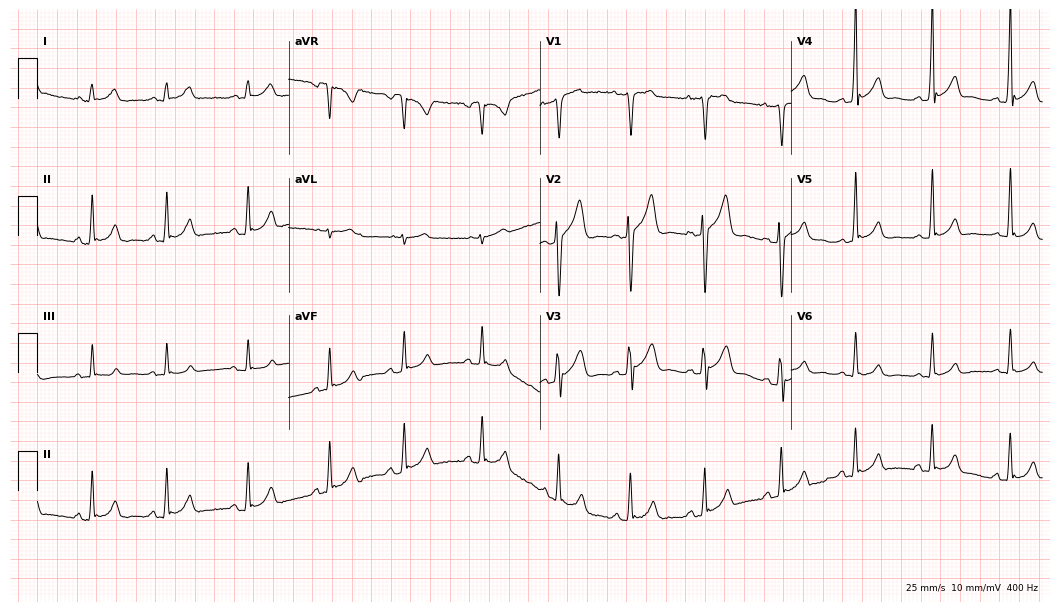
Resting 12-lead electrocardiogram. Patient: a male, 22 years old. Read as a normal ECG.